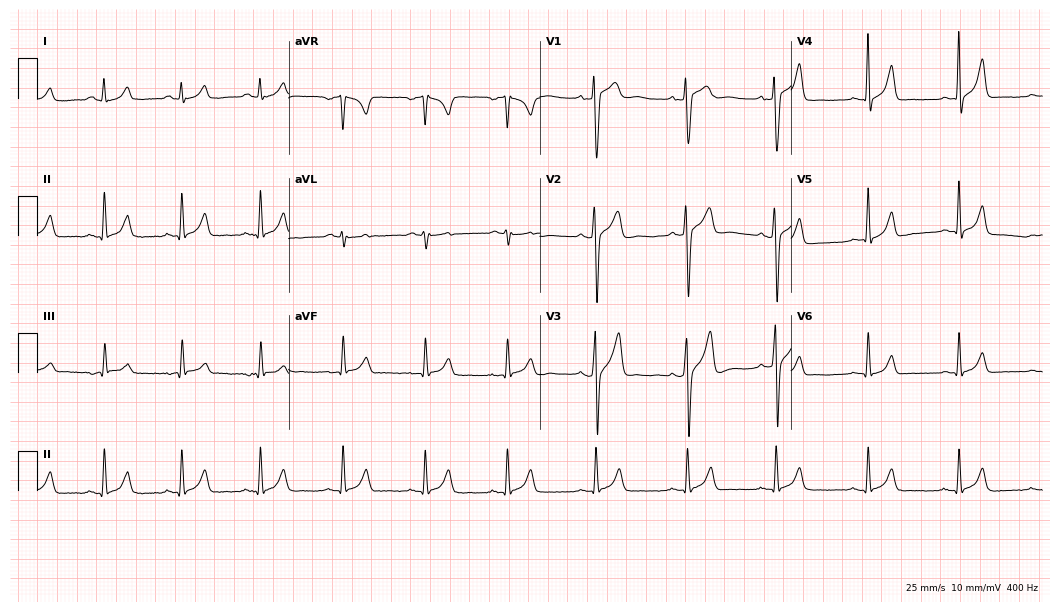
Standard 12-lead ECG recorded from a male, 20 years old. Read as a normal ECG.